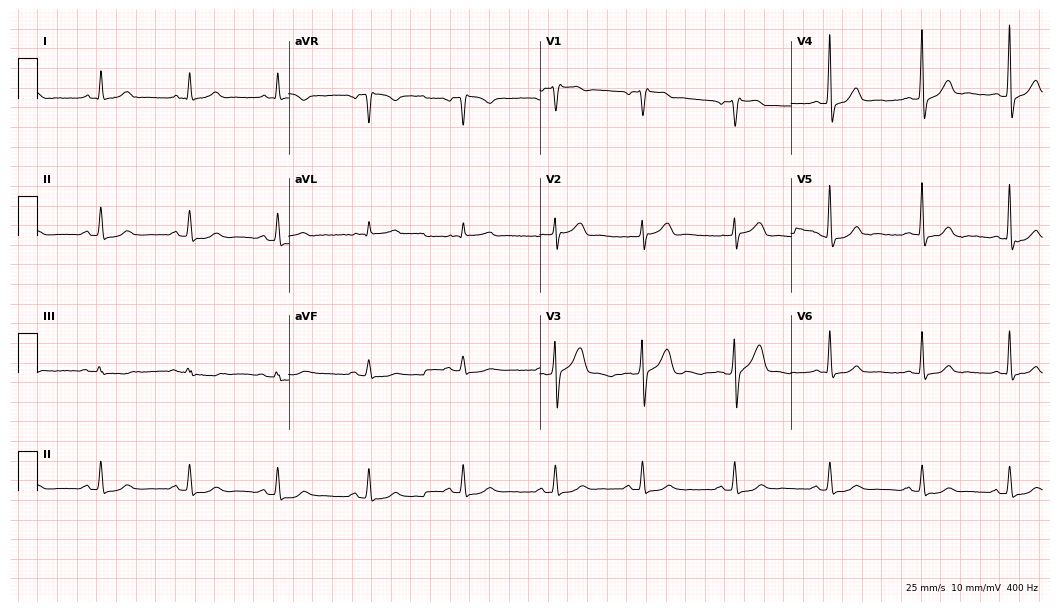
Resting 12-lead electrocardiogram (10.2-second recording at 400 Hz). Patient: a male, 31 years old. None of these six findings is recorded: first-degree AV block, right bundle branch block, left bundle branch block, sinus bradycardia, atrial fibrillation, sinus tachycardia.